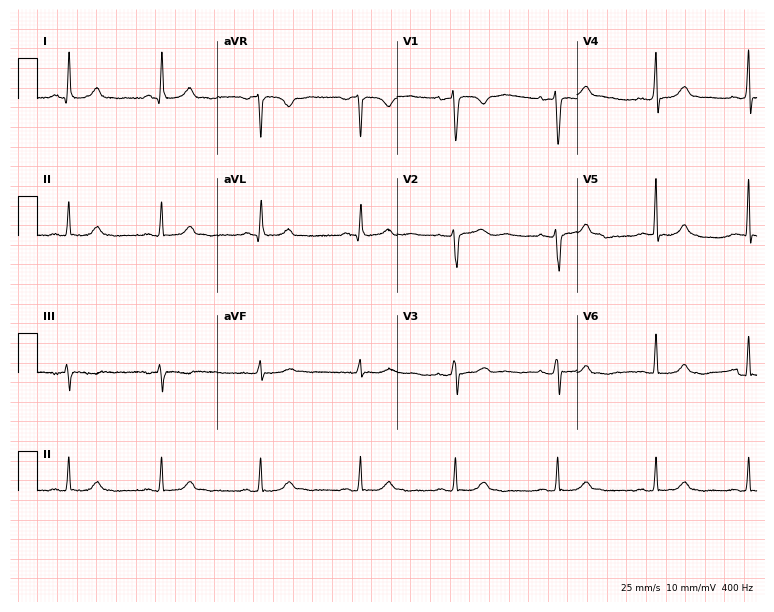
Resting 12-lead electrocardiogram (7.3-second recording at 400 Hz). Patient: a female, 62 years old. Read as a normal ECG.